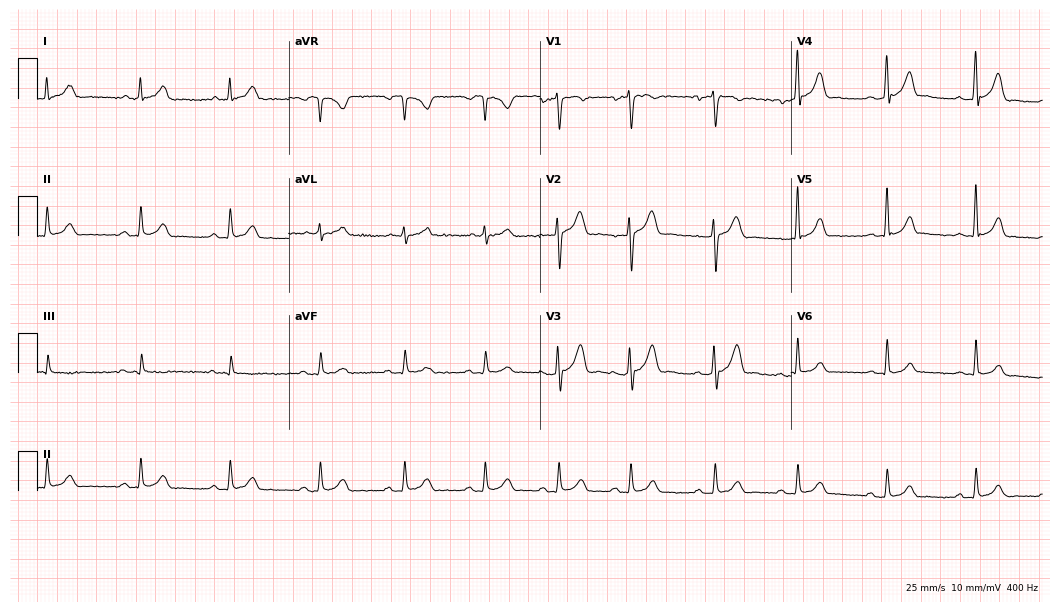
12-lead ECG (10.2-second recording at 400 Hz) from a 27-year-old male patient. Screened for six findings — first-degree AV block, right bundle branch block, left bundle branch block, sinus bradycardia, atrial fibrillation, sinus tachycardia — none is recorded. Only these six findings were labelled.